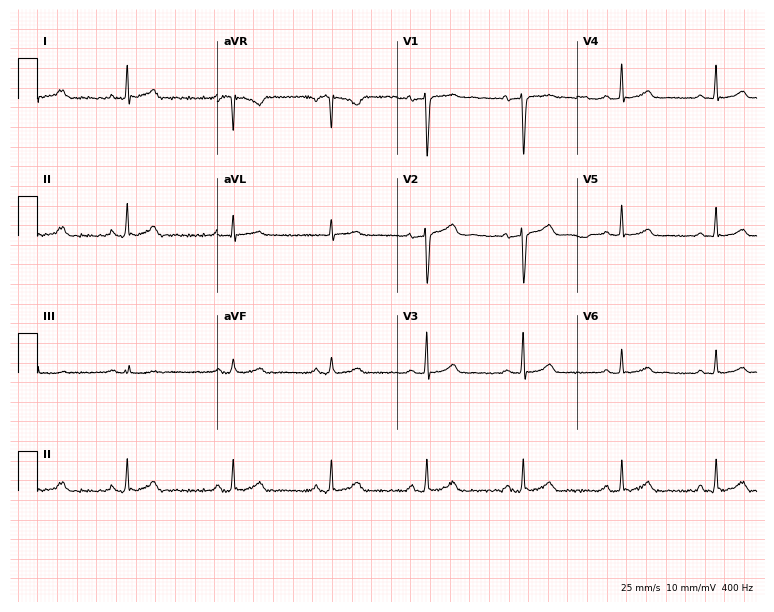
12-lead ECG from a female patient, 44 years old. Labelled as a normal ECG.